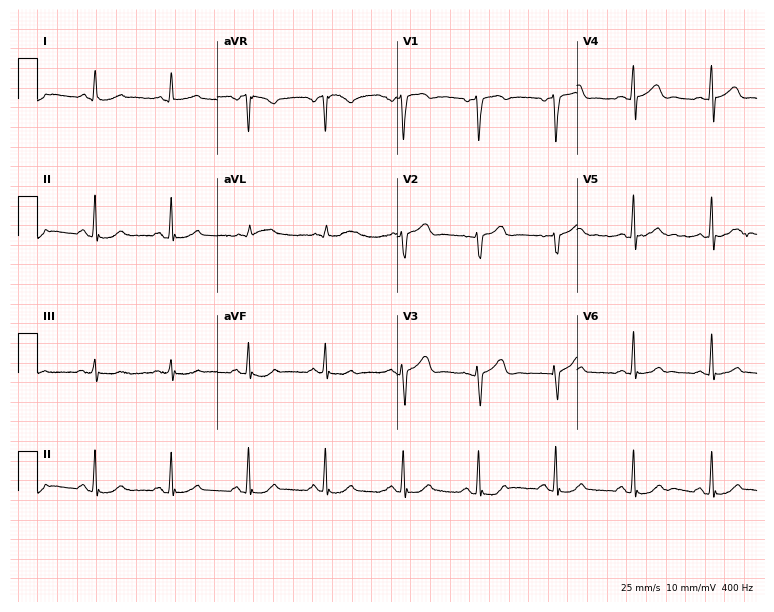
Standard 12-lead ECG recorded from an 85-year-old male patient (7.3-second recording at 400 Hz). None of these six findings is recorded: first-degree AV block, right bundle branch block (RBBB), left bundle branch block (LBBB), sinus bradycardia, atrial fibrillation (AF), sinus tachycardia. Other findings, if any, are not listed.